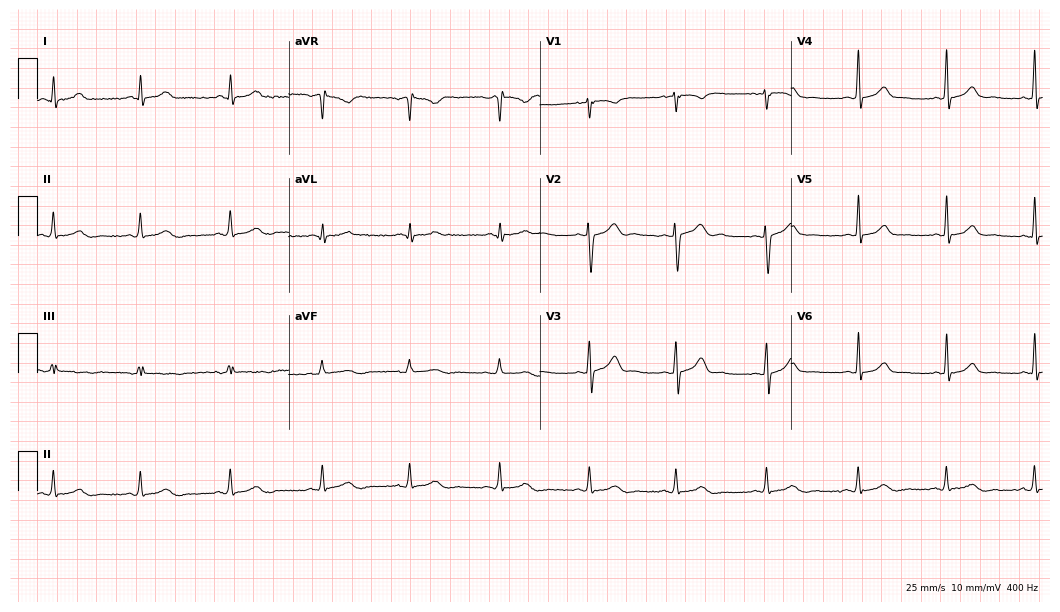
Electrocardiogram (10.2-second recording at 400 Hz), a 19-year-old female patient. Of the six screened findings (first-degree AV block, right bundle branch block (RBBB), left bundle branch block (LBBB), sinus bradycardia, atrial fibrillation (AF), sinus tachycardia), none is recorded.